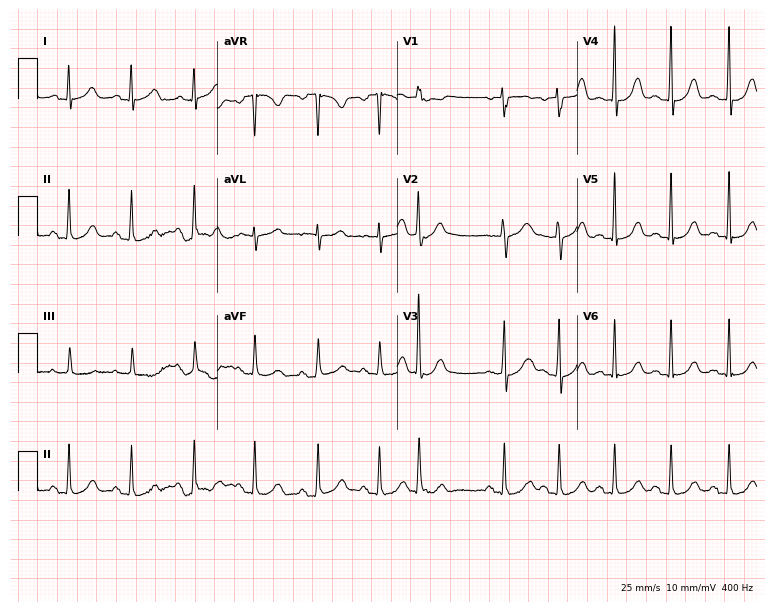
Electrocardiogram, a 49-year-old female. Of the six screened findings (first-degree AV block, right bundle branch block, left bundle branch block, sinus bradycardia, atrial fibrillation, sinus tachycardia), none is recorded. Findings outside these six are not listed.